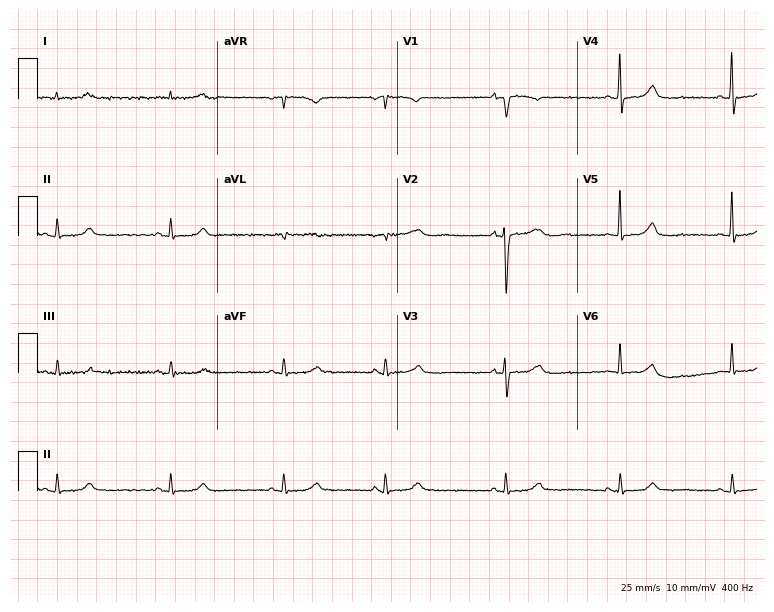
ECG (7.3-second recording at 400 Hz) — a 71-year-old woman. Screened for six findings — first-degree AV block, right bundle branch block, left bundle branch block, sinus bradycardia, atrial fibrillation, sinus tachycardia — none is recorded. Findings outside these six are not listed.